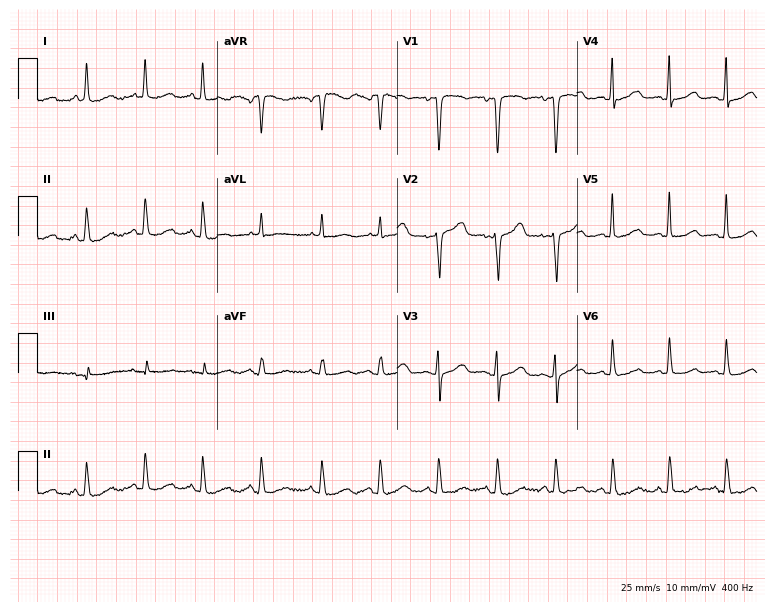
ECG — a female, 69 years old. Labelled as a normal ECG.